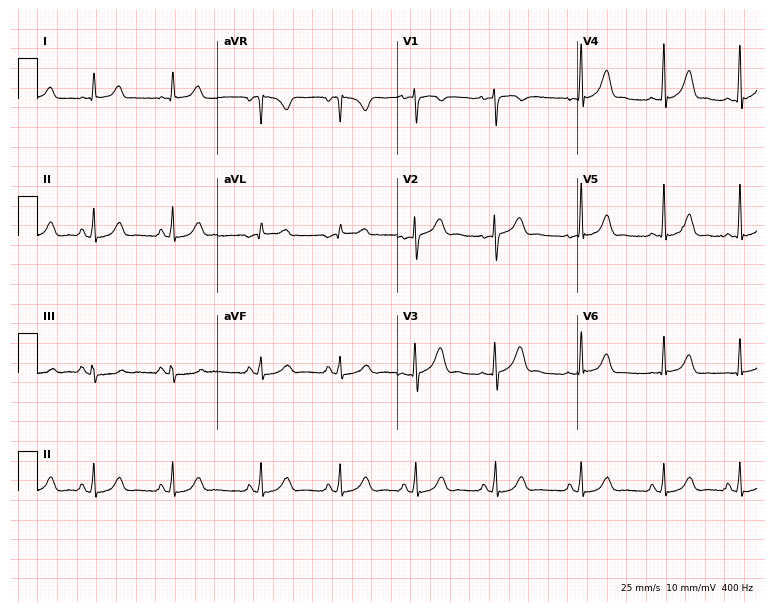
12-lead ECG from a 30-year-old female. No first-degree AV block, right bundle branch block, left bundle branch block, sinus bradycardia, atrial fibrillation or sinus tachycardia recorded for this tracing.